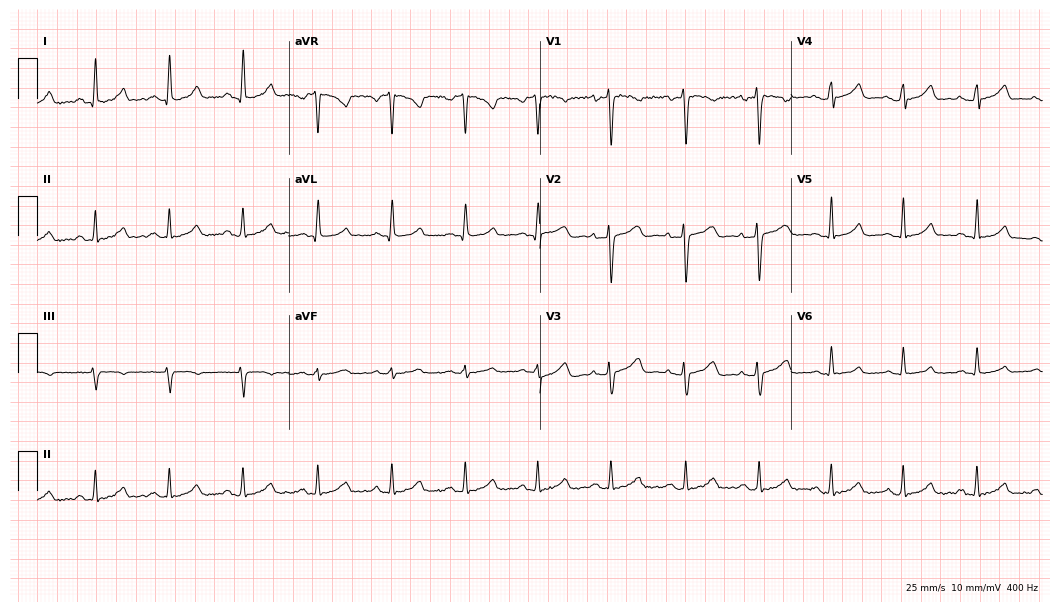
Standard 12-lead ECG recorded from a woman, 40 years old (10.2-second recording at 400 Hz). Read as a normal ECG.